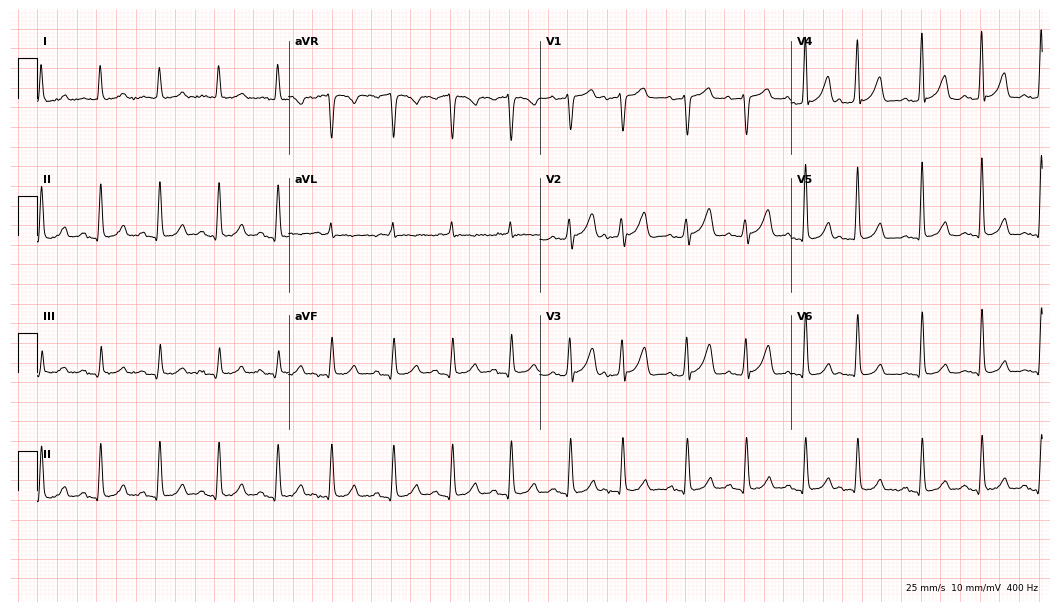
Standard 12-lead ECG recorded from a 71-year-old female patient. None of these six findings is recorded: first-degree AV block, right bundle branch block, left bundle branch block, sinus bradycardia, atrial fibrillation, sinus tachycardia. Other findings, if any, are not listed.